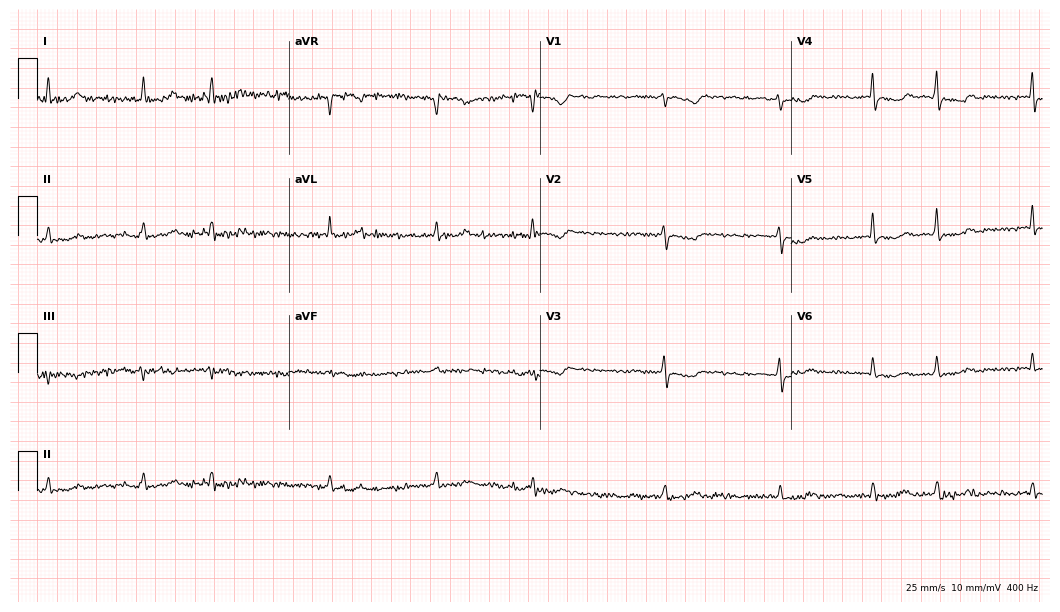
Standard 12-lead ECG recorded from a woman, 72 years old. The tracing shows atrial fibrillation (AF).